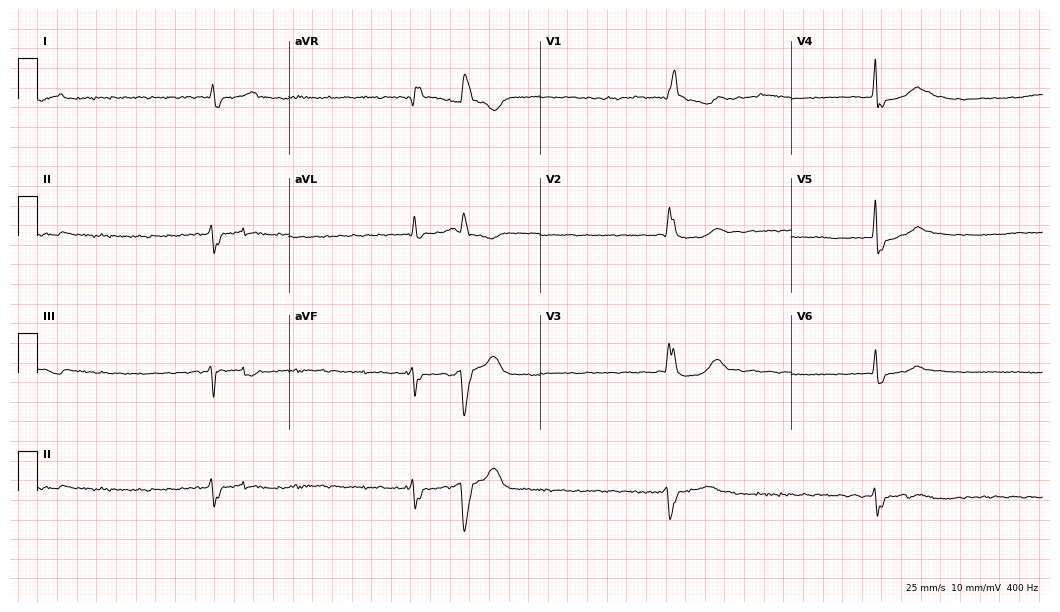
Electrocardiogram, a male, 84 years old. Of the six screened findings (first-degree AV block, right bundle branch block (RBBB), left bundle branch block (LBBB), sinus bradycardia, atrial fibrillation (AF), sinus tachycardia), none is recorded. Other findings, if any, are not listed.